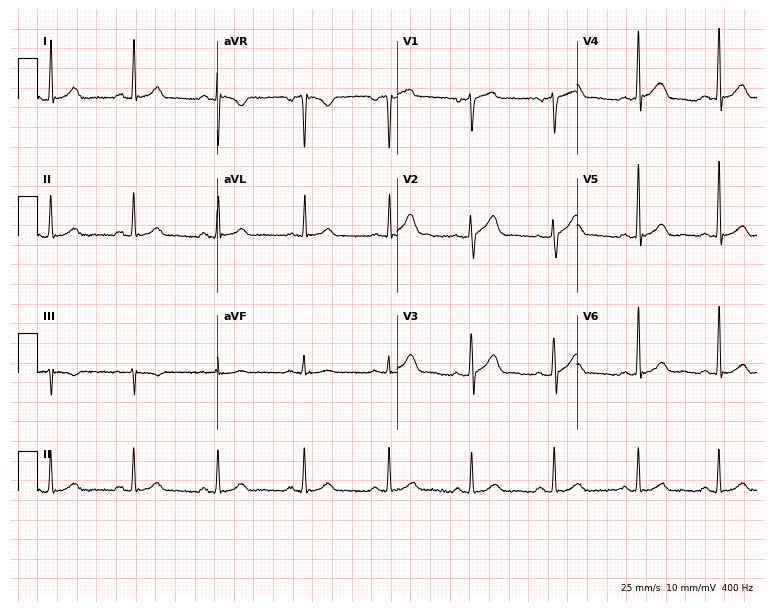
12-lead ECG from a male, 34 years old. Recorded interpretation: within normal limits.